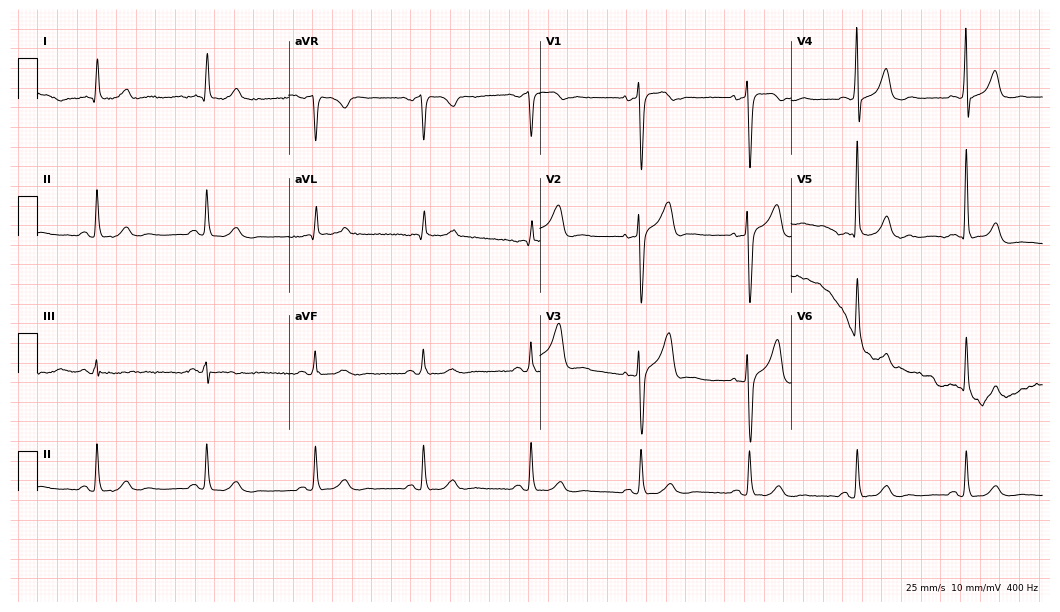
ECG (10.2-second recording at 400 Hz) — a 77-year-old female. Screened for six findings — first-degree AV block, right bundle branch block, left bundle branch block, sinus bradycardia, atrial fibrillation, sinus tachycardia — none is recorded. Only these six findings were labelled.